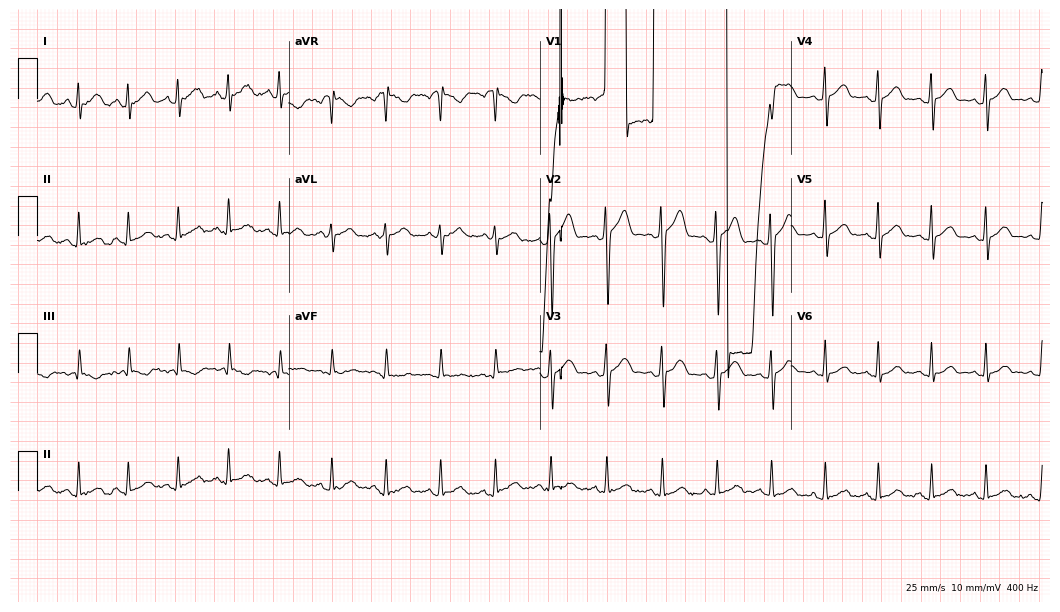
ECG — an 18-year-old male patient. Findings include atrial fibrillation.